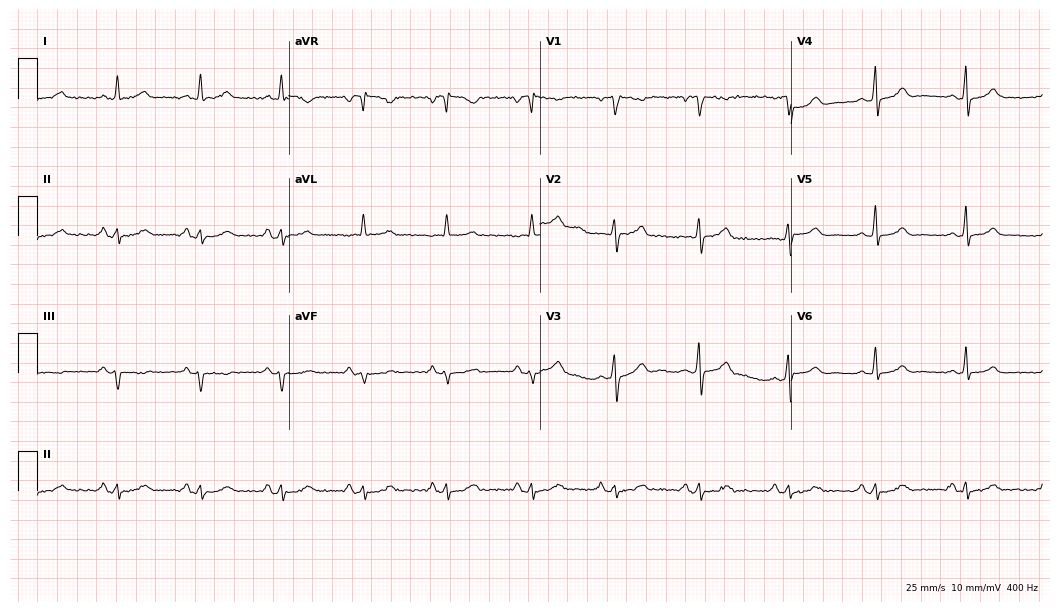
Electrocardiogram, a male patient, 70 years old. Overall reading on record: normal ECG.